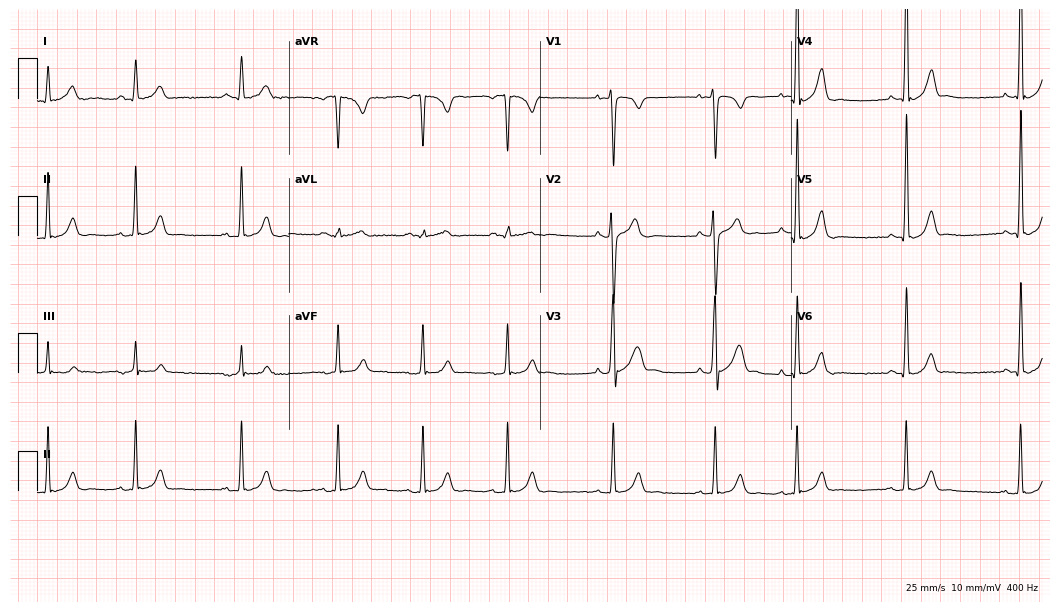
12-lead ECG (10.2-second recording at 400 Hz) from a man, 17 years old. Labelled as a normal ECG.